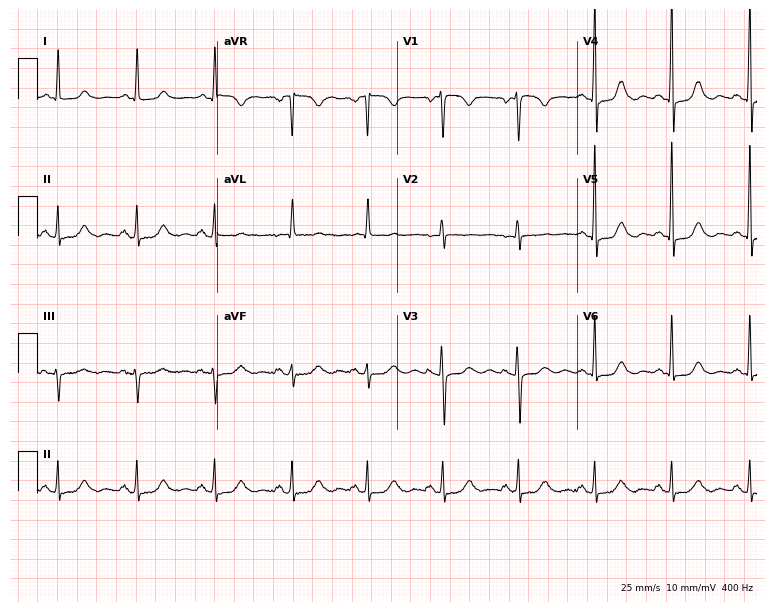
12-lead ECG from a 56-year-old female patient. Recorded interpretation: within normal limits.